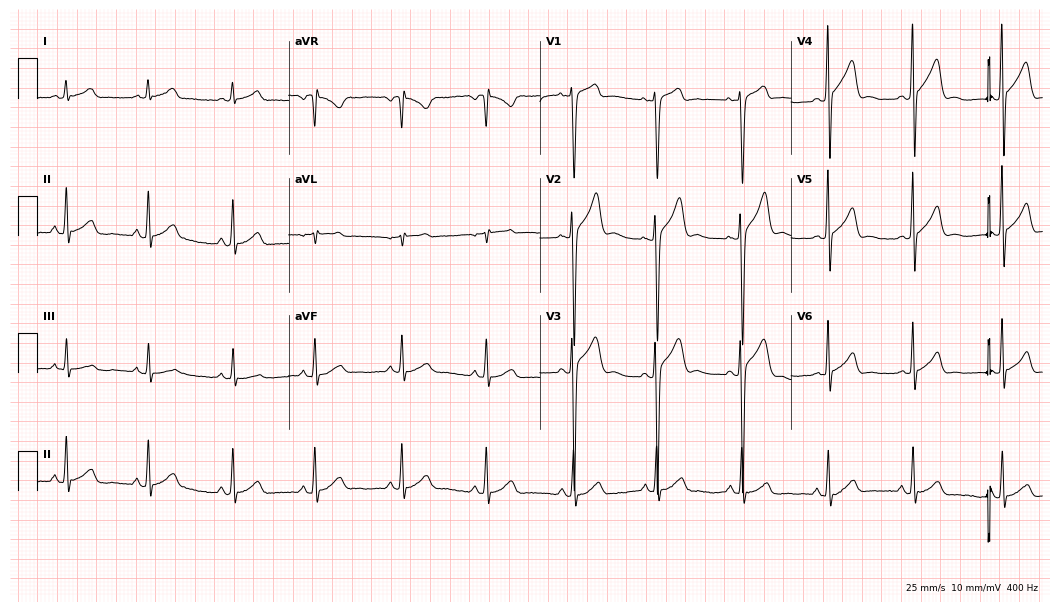
Standard 12-lead ECG recorded from a man, 20 years old. None of these six findings is recorded: first-degree AV block, right bundle branch block, left bundle branch block, sinus bradycardia, atrial fibrillation, sinus tachycardia. Findings outside these six are not listed.